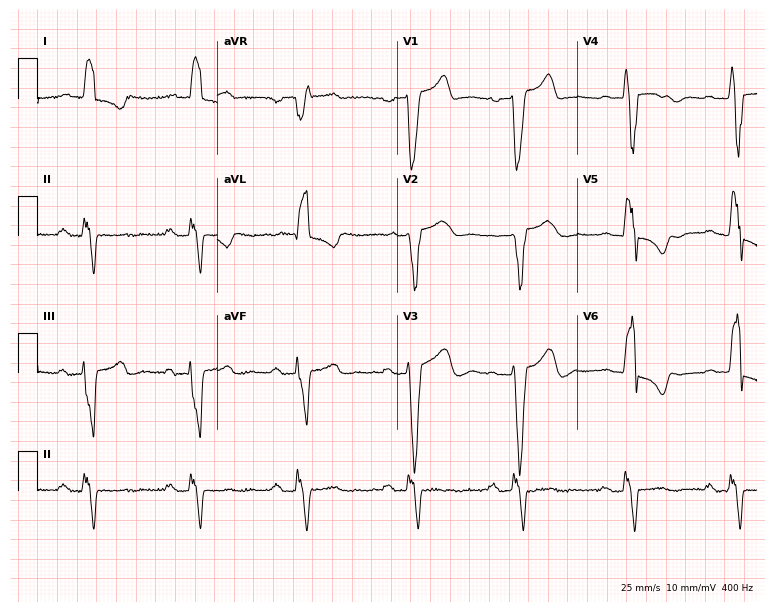
12-lead ECG from a woman, 80 years old (7.3-second recording at 400 Hz). Shows first-degree AV block, left bundle branch block (LBBB).